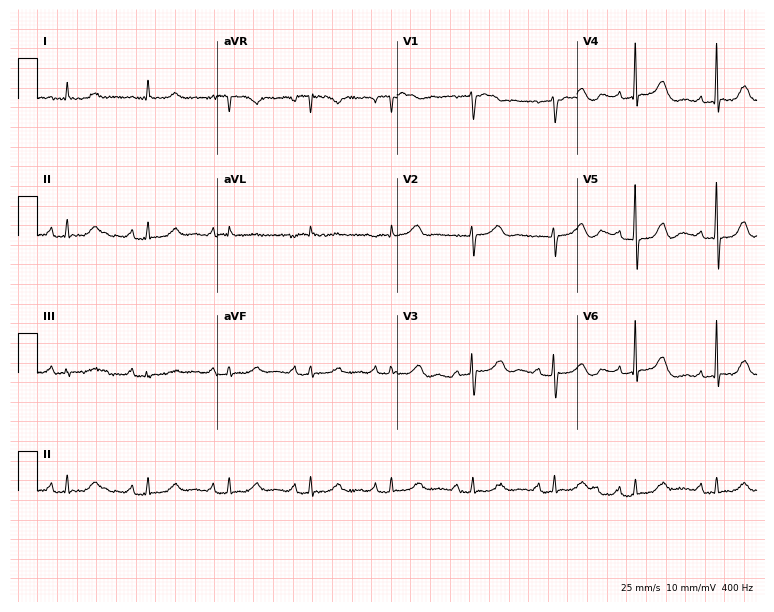
12-lead ECG from an 85-year-old female patient (7.3-second recording at 400 Hz). Recorded interpretation: within normal limits.